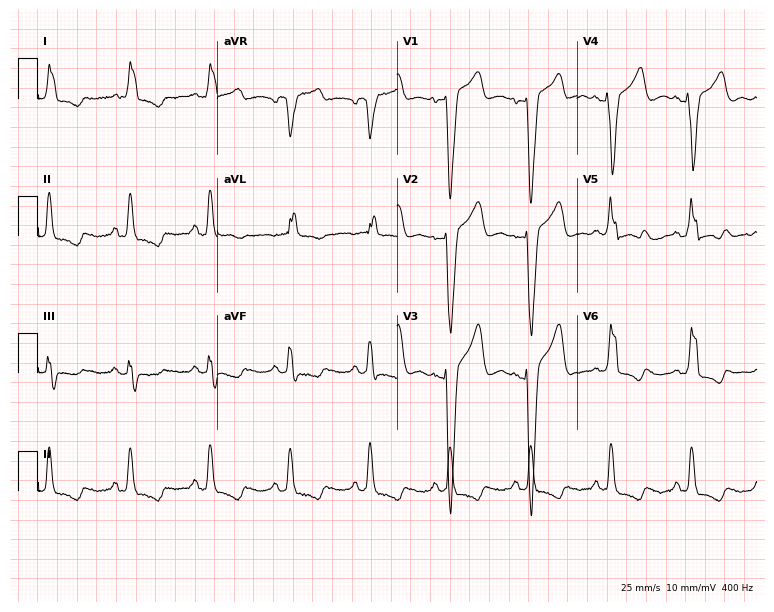
ECG (7.3-second recording at 400 Hz) — a 63-year-old woman. Findings include left bundle branch block.